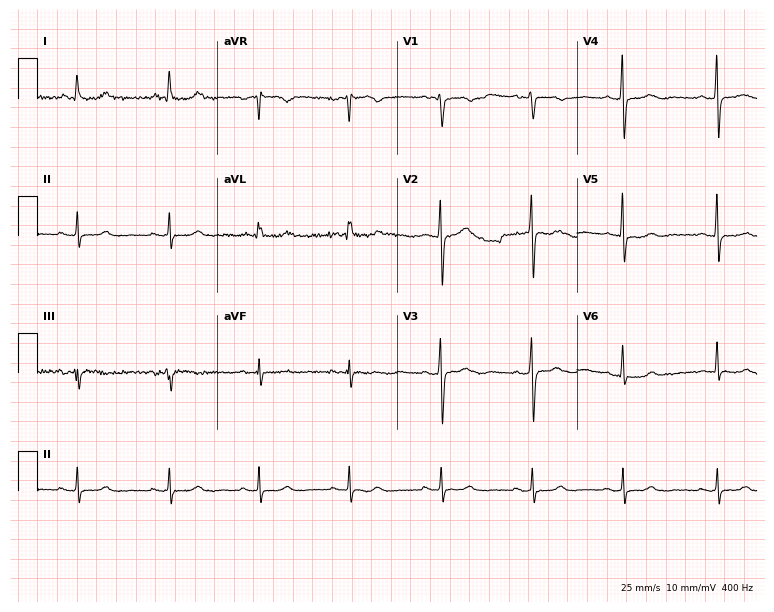
12-lead ECG from a female, 63 years old (7.3-second recording at 400 Hz). No first-degree AV block, right bundle branch block, left bundle branch block, sinus bradycardia, atrial fibrillation or sinus tachycardia recorded for this tracing.